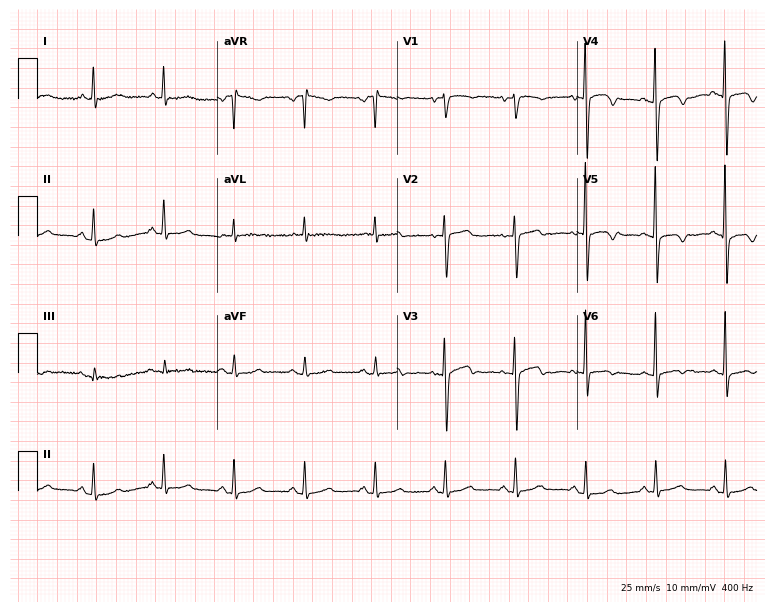
ECG (7.3-second recording at 400 Hz) — a female patient, 77 years old. Screened for six findings — first-degree AV block, right bundle branch block, left bundle branch block, sinus bradycardia, atrial fibrillation, sinus tachycardia — none is recorded. Findings outside these six are not listed.